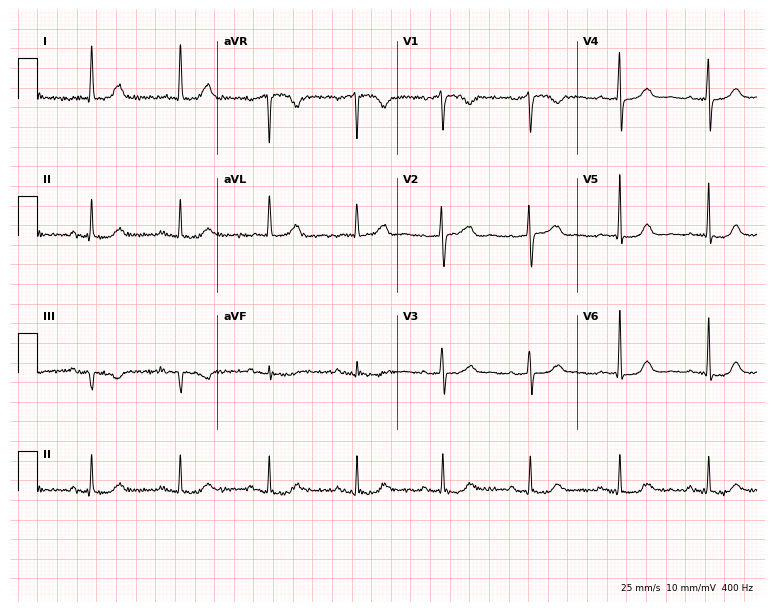
Electrocardiogram, a woman, 75 years old. Of the six screened findings (first-degree AV block, right bundle branch block (RBBB), left bundle branch block (LBBB), sinus bradycardia, atrial fibrillation (AF), sinus tachycardia), none is recorded. Only these six findings were labelled.